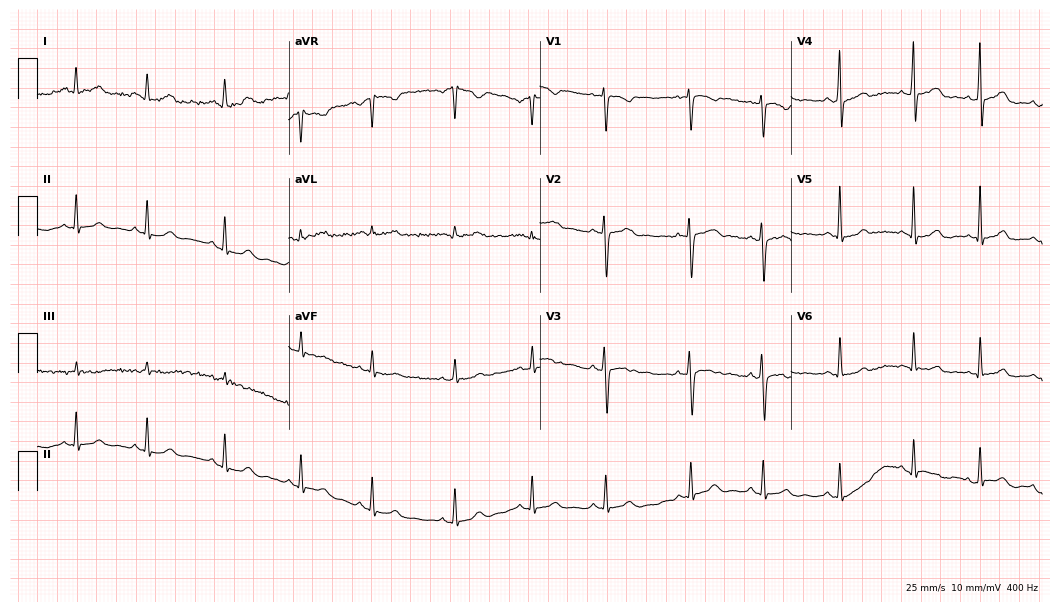
Electrocardiogram (10.2-second recording at 400 Hz), a female, 30 years old. Overall reading on record: normal ECG.